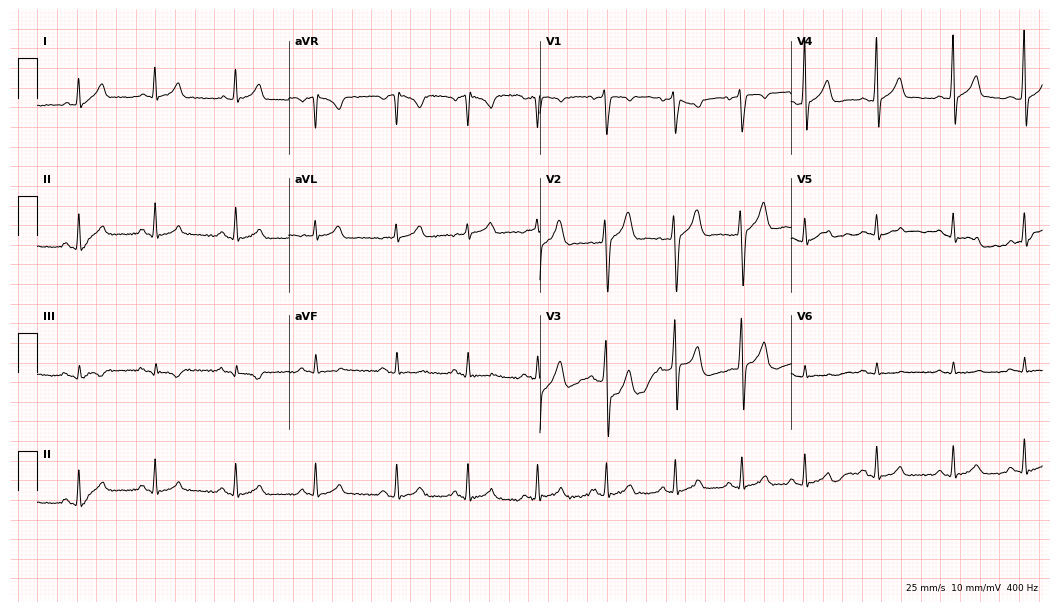
Resting 12-lead electrocardiogram. Patient: a man, 30 years old. Read as a normal ECG.